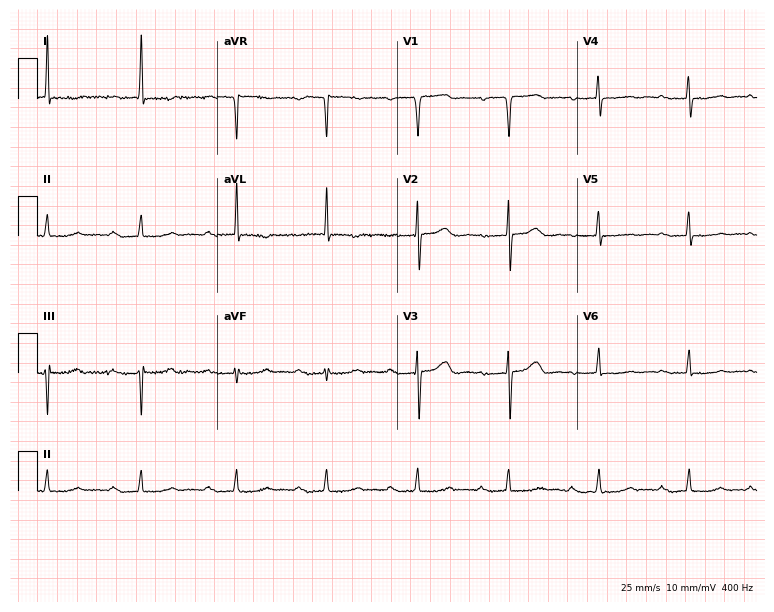
ECG (7.3-second recording at 400 Hz) — a female, 77 years old. Screened for six findings — first-degree AV block, right bundle branch block, left bundle branch block, sinus bradycardia, atrial fibrillation, sinus tachycardia — none is recorded.